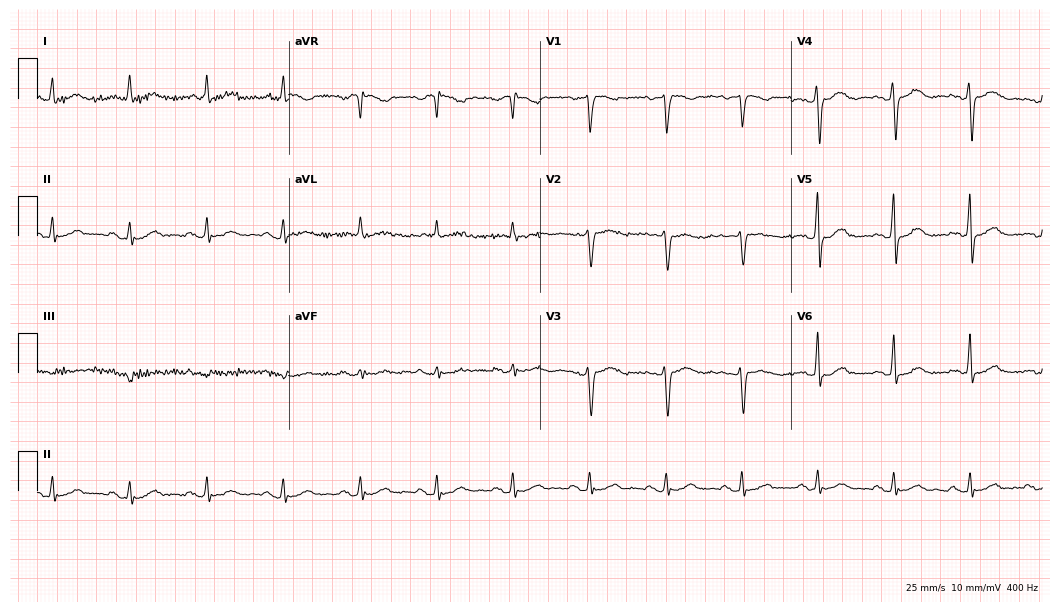
ECG (10.2-second recording at 400 Hz) — a 47-year-old female patient. Screened for six findings — first-degree AV block, right bundle branch block, left bundle branch block, sinus bradycardia, atrial fibrillation, sinus tachycardia — none is recorded.